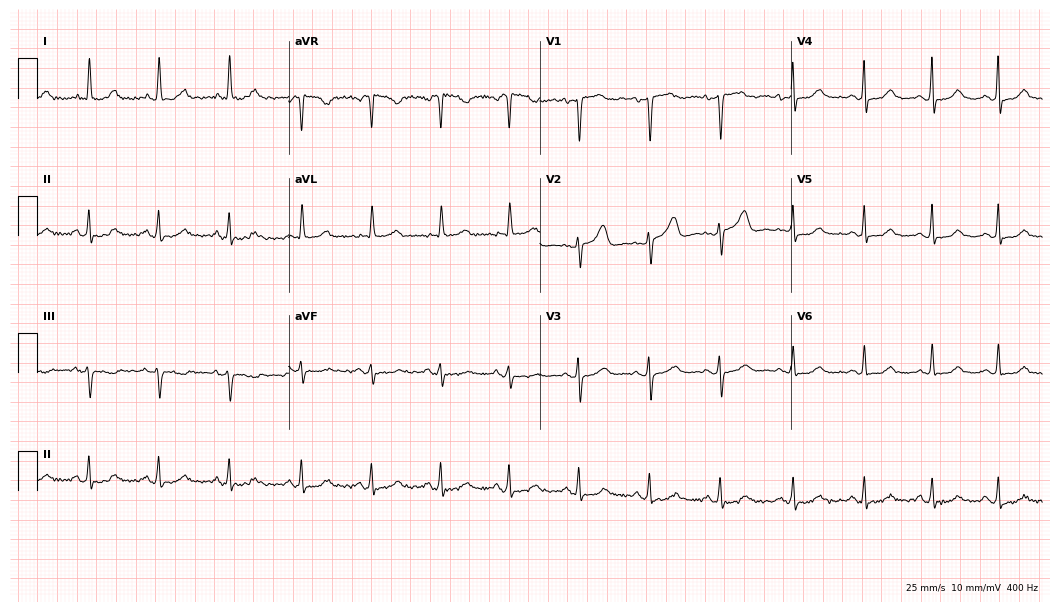
Electrocardiogram, a 52-year-old female patient. Of the six screened findings (first-degree AV block, right bundle branch block, left bundle branch block, sinus bradycardia, atrial fibrillation, sinus tachycardia), none is recorded. Findings outside these six are not listed.